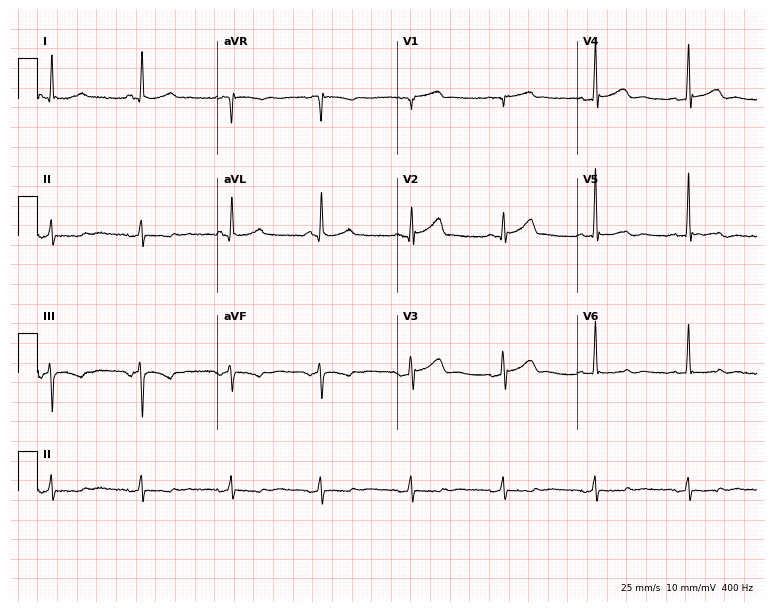
Resting 12-lead electrocardiogram (7.3-second recording at 400 Hz). Patient: a 76-year-old male. Read as a normal ECG.